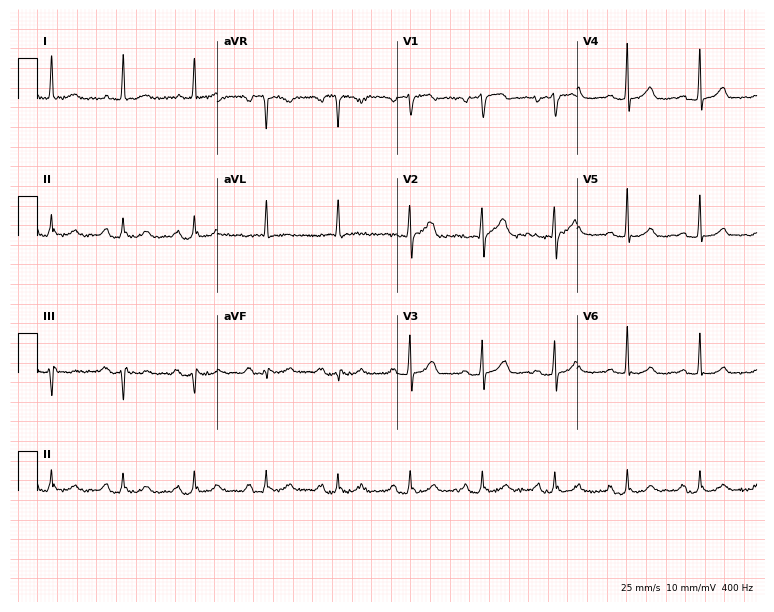
12-lead ECG from a female, 77 years old. Screened for six findings — first-degree AV block, right bundle branch block, left bundle branch block, sinus bradycardia, atrial fibrillation, sinus tachycardia — none is recorded. Only these six findings were labelled.